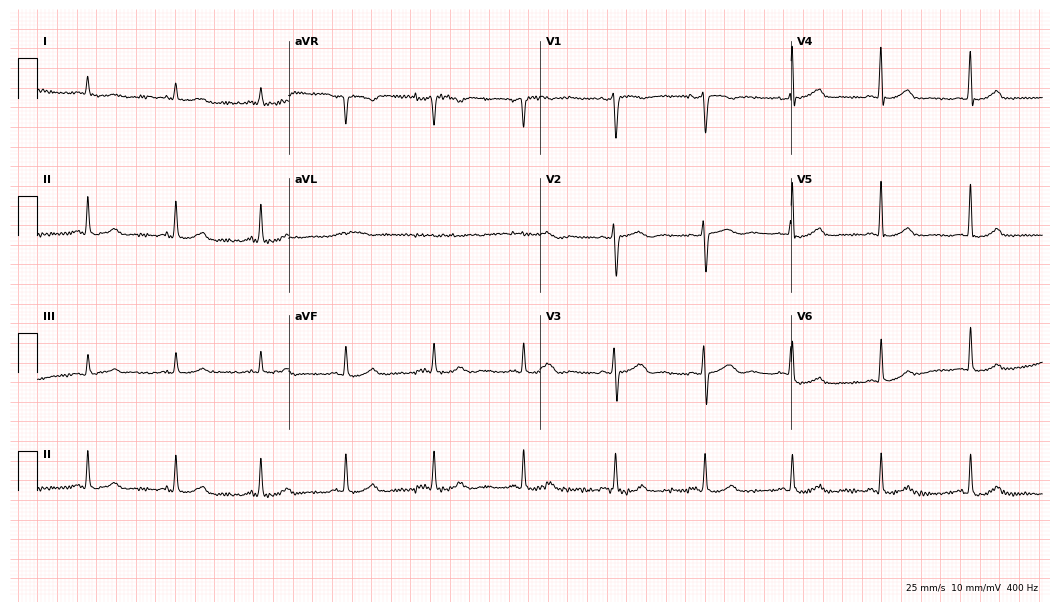
12-lead ECG from a 48-year-old woman (10.2-second recording at 400 Hz). Recorded interpretation: within normal limits.